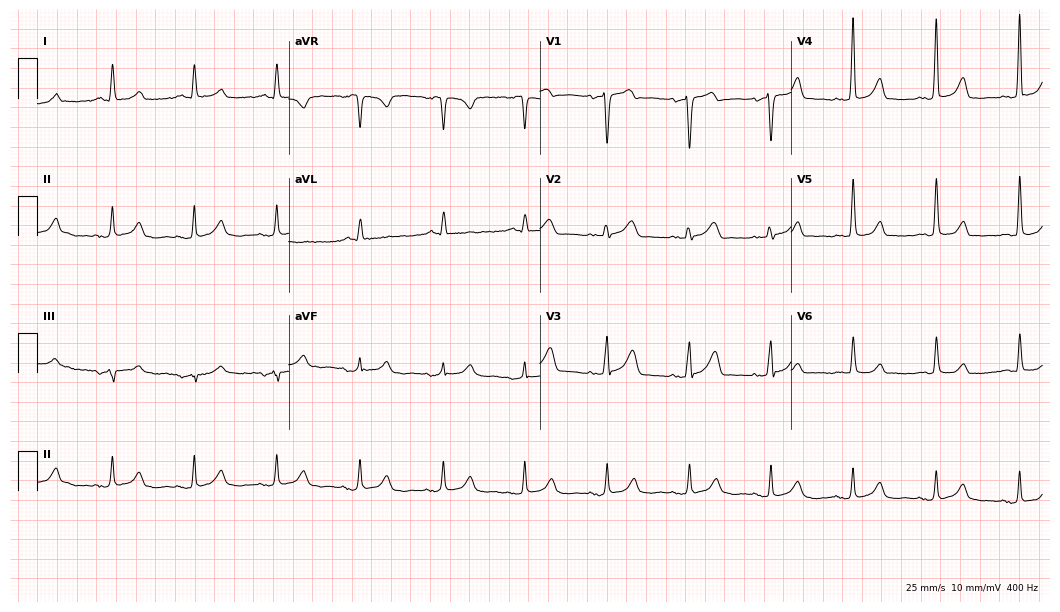
Resting 12-lead electrocardiogram. Patient: a female, 74 years old. None of these six findings is recorded: first-degree AV block, right bundle branch block, left bundle branch block, sinus bradycardia, atrial fibrillation, sinus tachycardia.